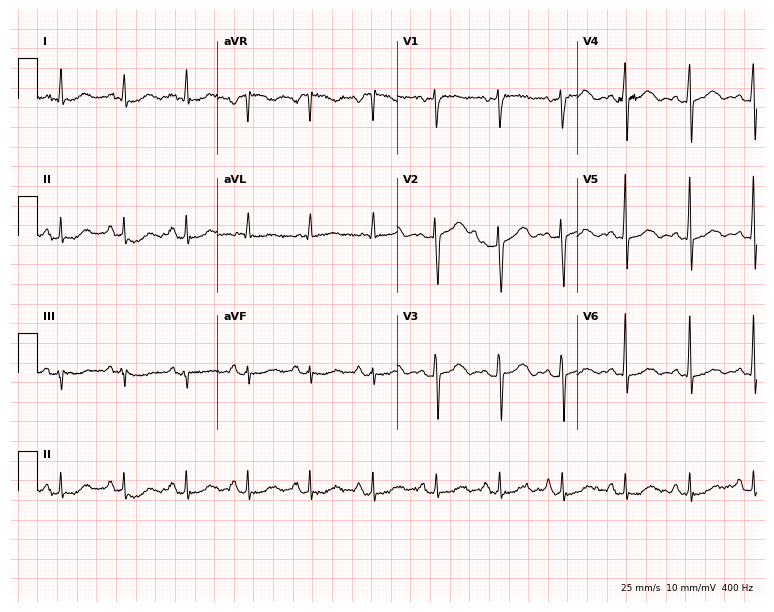
ECG — a woman, 55 years old. Screened for six findings — first-degree AV block, right bundle branch block (RBBB), left bundle branch block (LBBB), sinus bradycardia, atrial fibrillation (AF), sinus tachycardia — none is recorded.